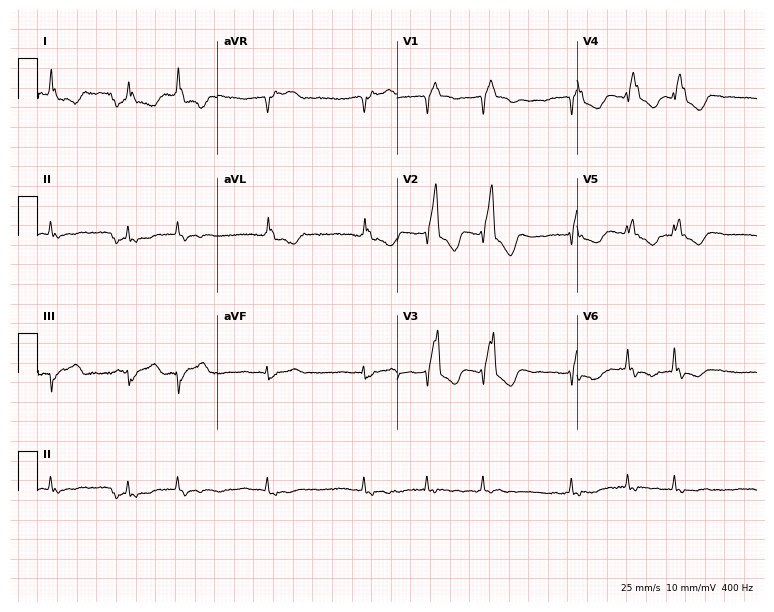
Standard 12-lead ECG recorded from a 43-year-old man (7.3-second recording at 400 Hz). The tracing shows right bundle branch block, atrial fibrillation.